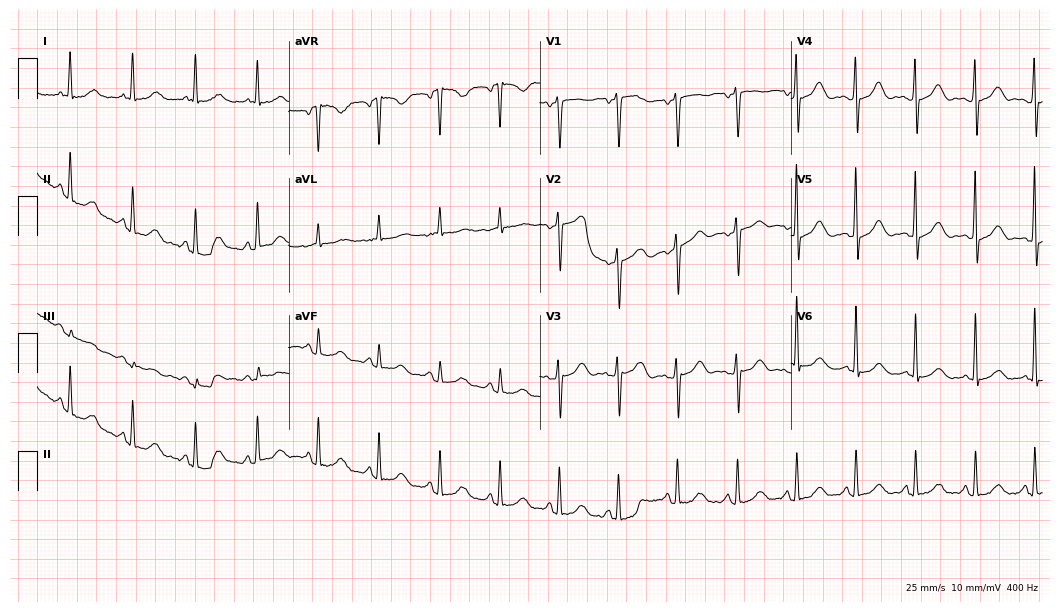
12-lead ECG from a female patient, 75 years old (10.2-second recording at 400 Hz). Recorded interpretation: within normal limits.